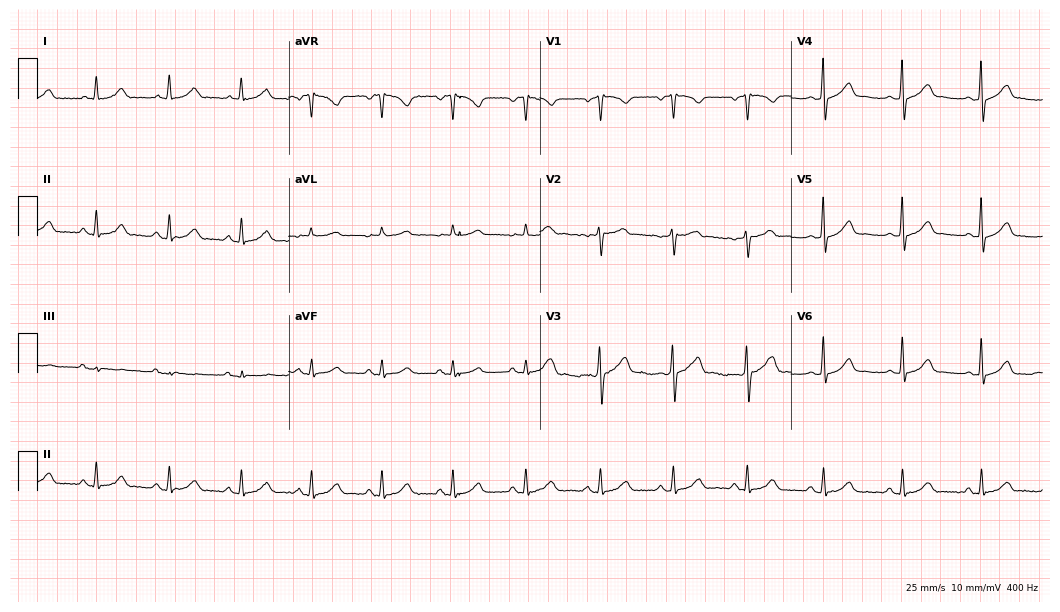
12-lead ECG from a 52-year-old female patient. No first-degree AV block, right bundle branch block, left bundle branch block, sinus bradycardia, atrial fibrillation or sinus tachycardia recorded for this tracing. Other findings, if any, are not listed.